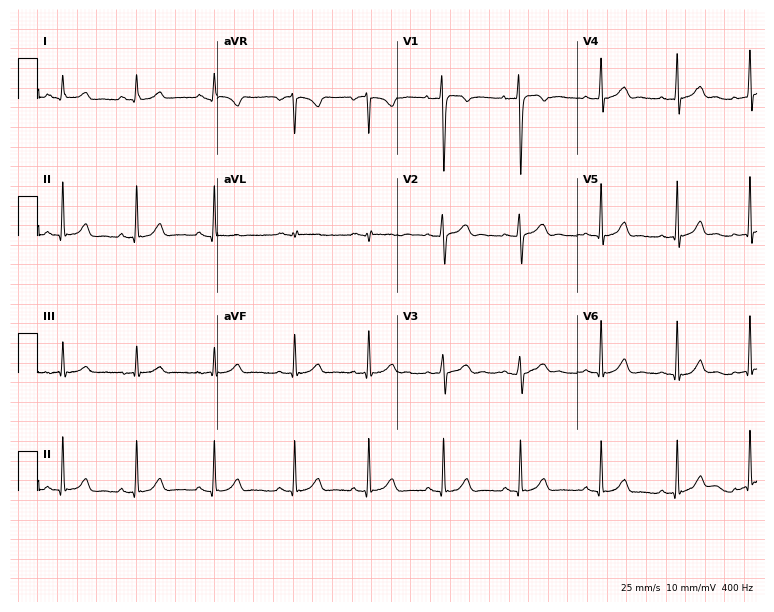
Electrocardiogram, a 29-year-old female. Overall reading on record: normal ECG.